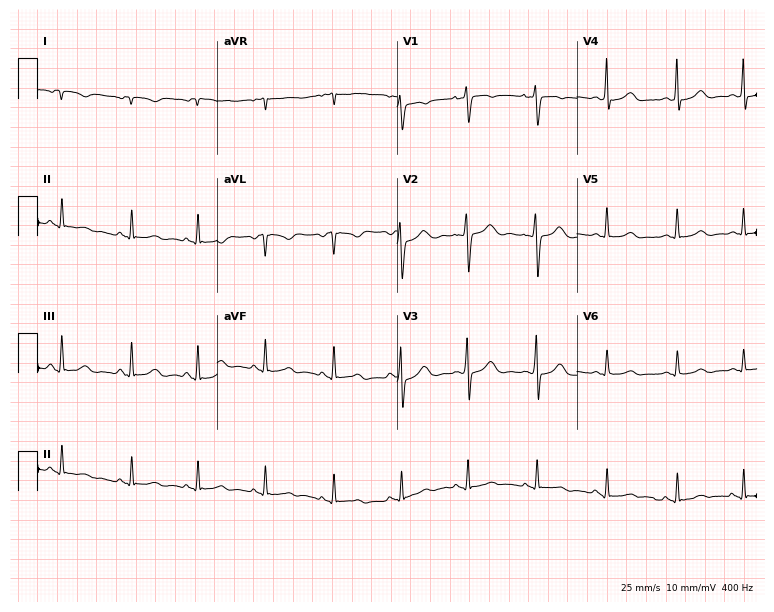
Resting 12-lead electrocardiogram. Patient: a woman, 20 years old. None of these six findings is recorded: first-degree AV block, right bundle branch block, left bundle branch block, sinus bradycardia, atrial fibrillation, sinus tachycardia.